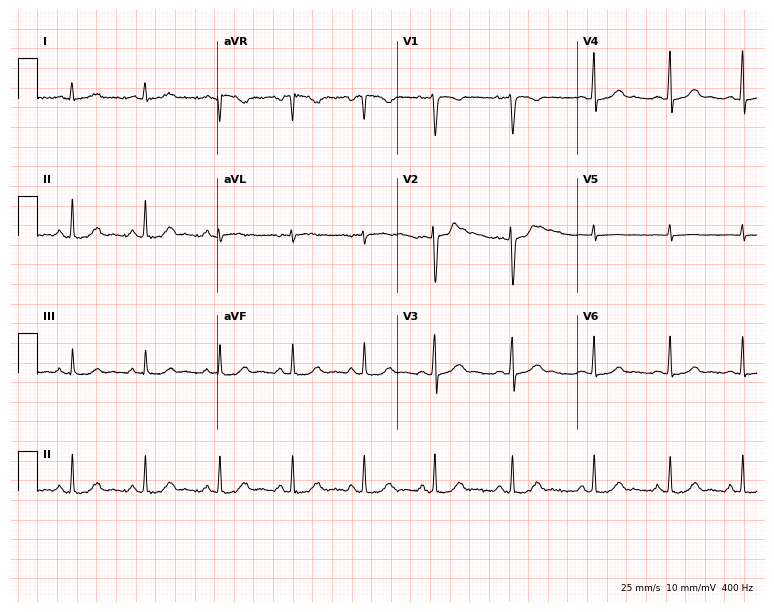
Electrocardiogram (7.3-second recording at 400 Hz), a female, 30 years old. Of the six screened findings (first-degree AV block, right bundle branch block, left bundle branch block, sinus bradycardia, atrial fibrillation, sinus tachycardia), none is recorded. Findings outside these six are not listed.